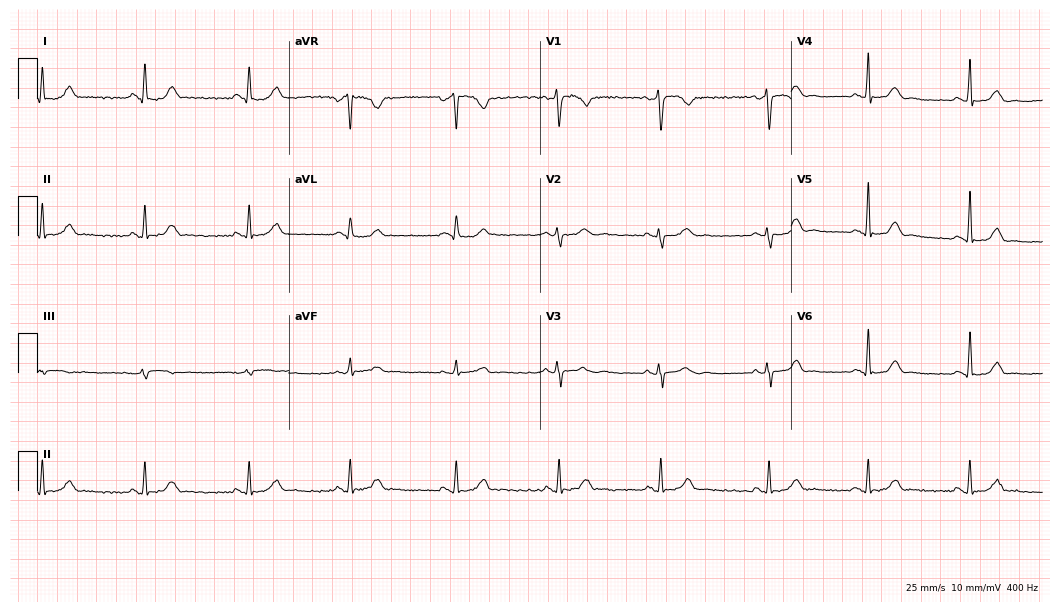
Resting 12-lead electrocardiogram (10.2-second recording at 400 Hz). Patient: a 40-year-old female. Read as a normal ECG.